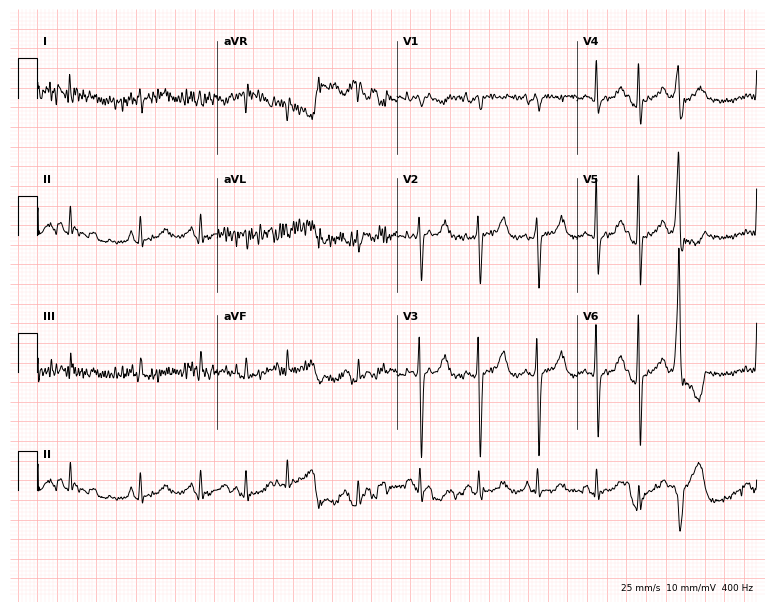
Resting 12-lead electrocardiogram. Patient: a male, 70 years old. None of these six findings is recorded: first-degree AV block, right bundle branch block (RBBB), left bundle branch block (LBBB), sinus bradycardia, atrial fibrillation (AF), sinus tachycardia. Other findings, if any, are not listed.